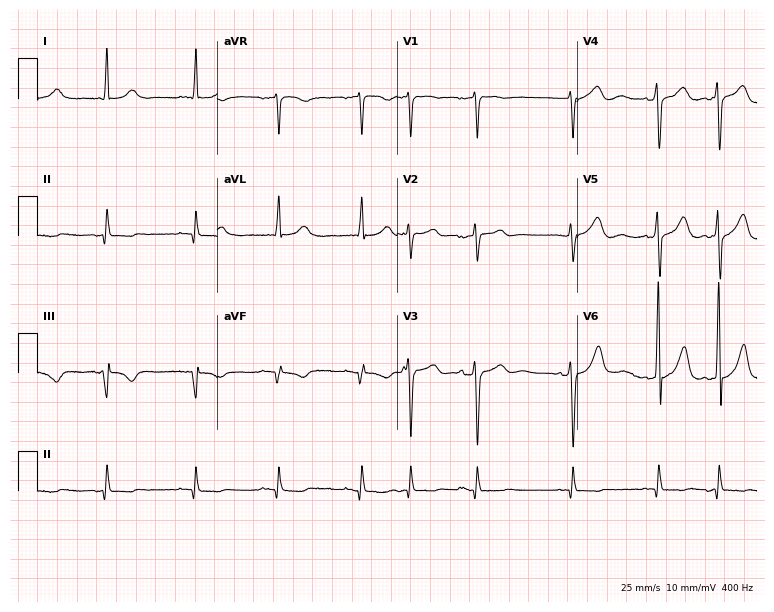
Standard 12-lead ECG recorded from a male, 78 years old (7.3-second recording at 400 Hz). None of these six findings is recorded: first-degree AV block, right bundle branch block (RBBB), left bundle branch block (LBBB), sinus bradycardia, atrial fibrillation (AF), sinus tachycardia. Findings outside these six are not listed.